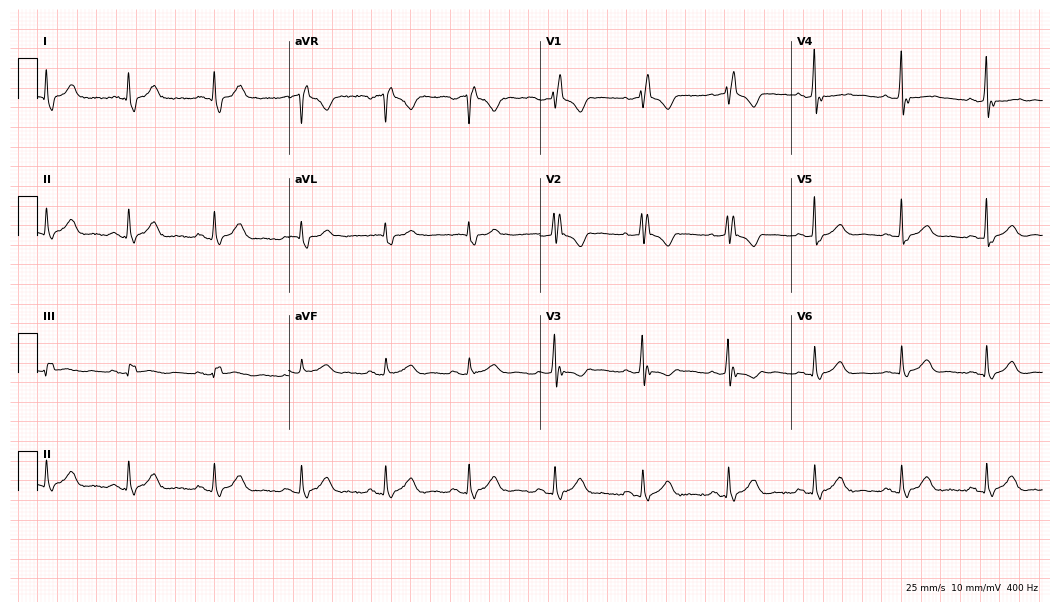
Standard 12-lead ECG recorded from a woman, 60 years old. None of these six findings is recorded: first-degree AV block, right bundle branch block, left bundle branch block, sinus bradycardia, atrial fibrillation, sinus tachycardia.